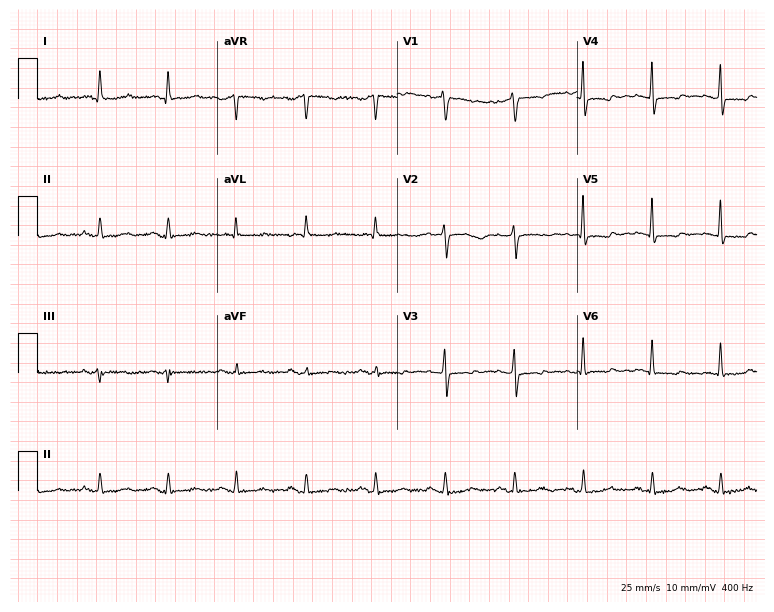
ECG — an 84-year-old woman. Screened for six findings — first-degree AV block, right bundle branch block, left bundle branch block, sinus bradycardia, atrial fibrillation, sinus tachycardia — none is recorded.